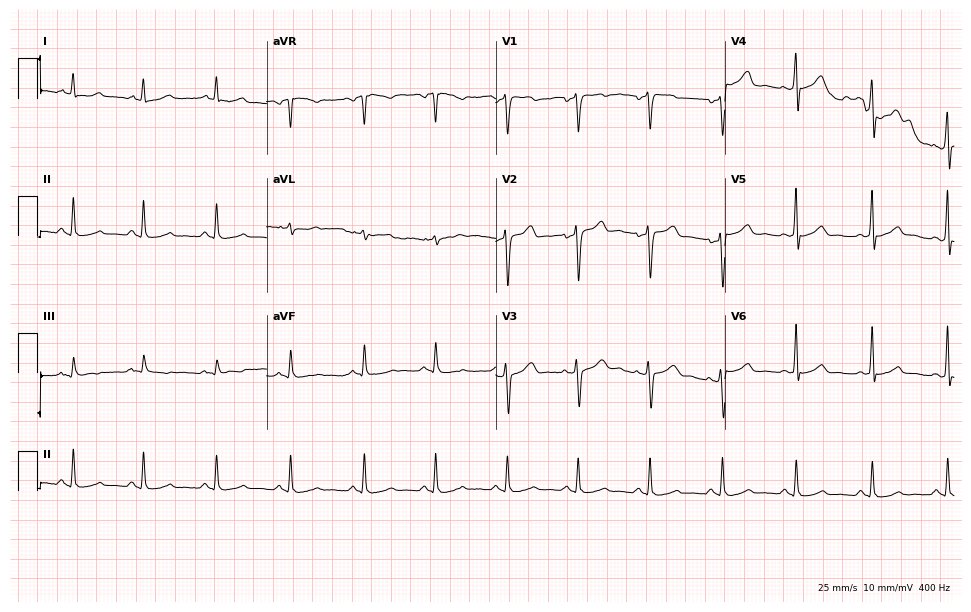
Resting 12-lead electrocardiogram (9.3-second recording at 400 Hz). Patient: a 38-year-old female. Read as a normal ECG.